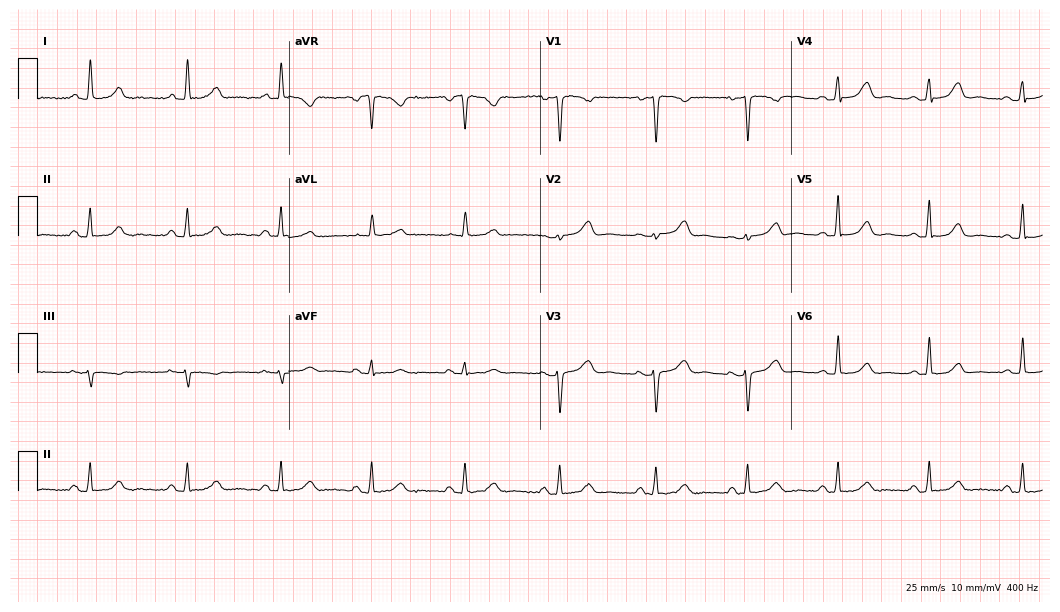
ECG (10.2-second recording at 400 Hz) — a 47-year-old woman. Labelled as a normal ECG.